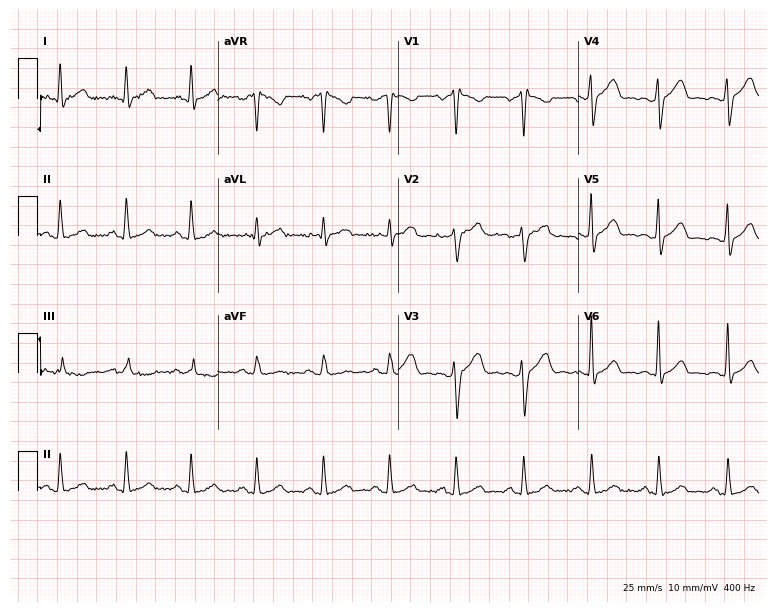
12-lead ECG from a 40-year-old male (7.4-second recording at 400 Hz). No first-degree AV block, right bundle branch block, left bundle branch block, sinus bradycardia, atrial fibrillation or sinus tachycardia recorded for this tracing.